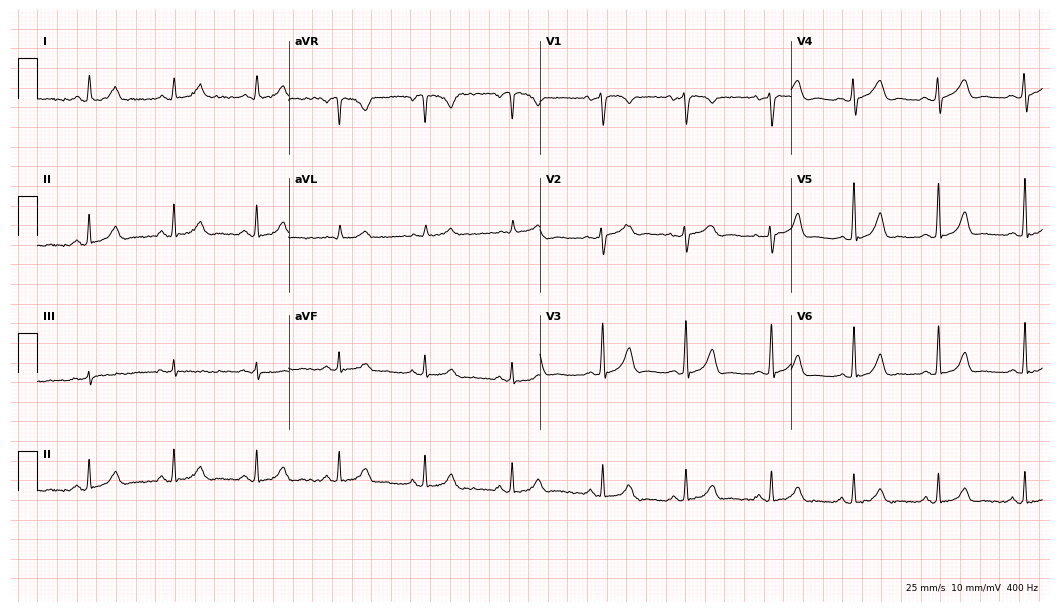
Electrocardiogram, a 30-year-old female. Overall reading on record: normal ECG.